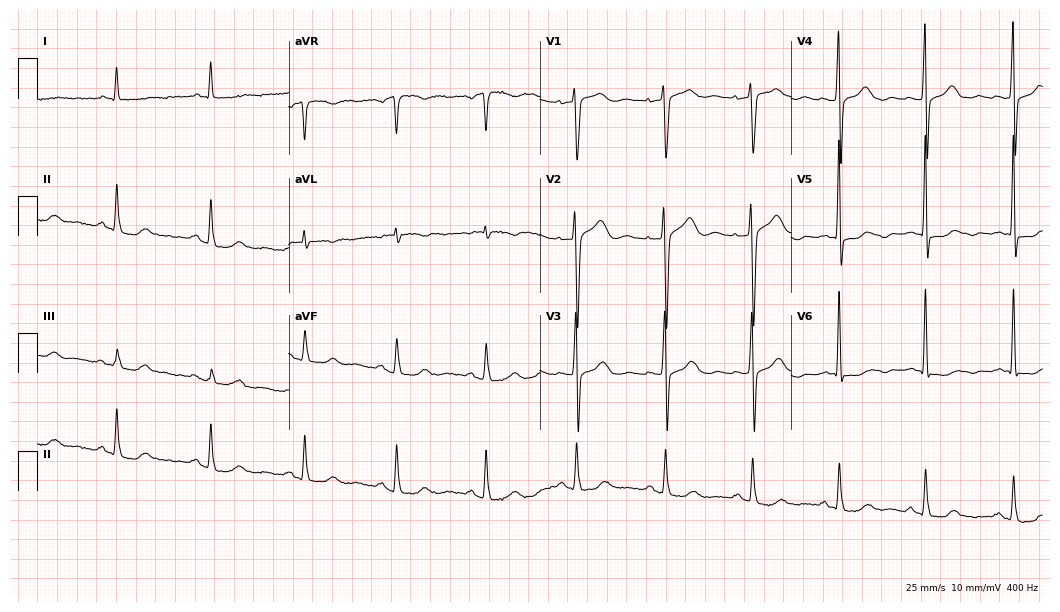
Resting 12-lead electrocardiogram (10.2-second recording at 400 Hz). Patient: a male, 67 years old. None of these six findings is recorded: first-degree AV block, right bundle branch block, left bundle branch block, sinus bradycardia, atrial fibrillation, sinus tachycardia. Only these six findings were labelled.